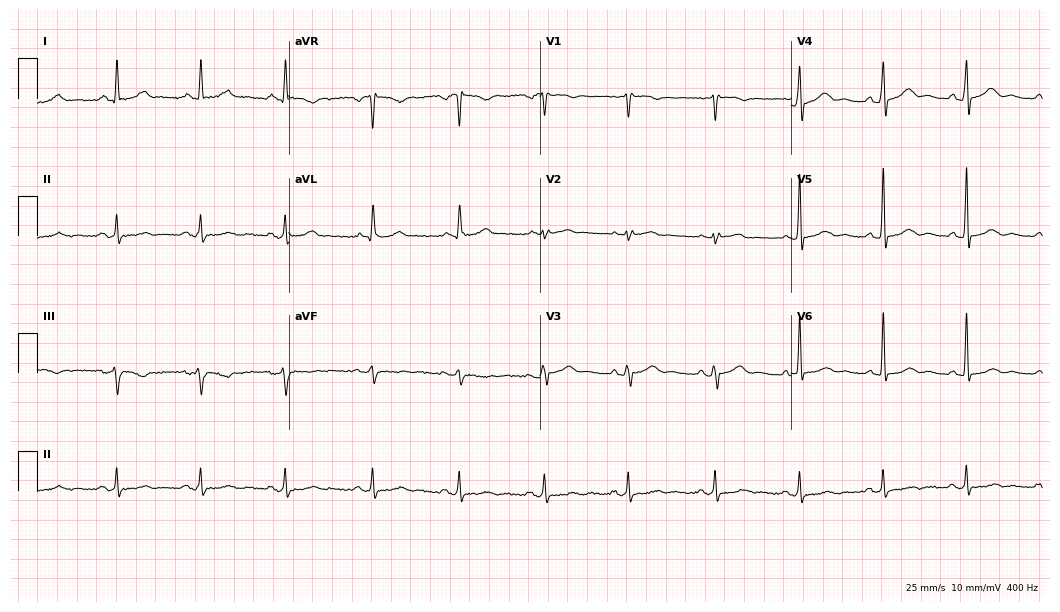
ECG — a 56-year-old female patient. Labelled as a normal ECG.